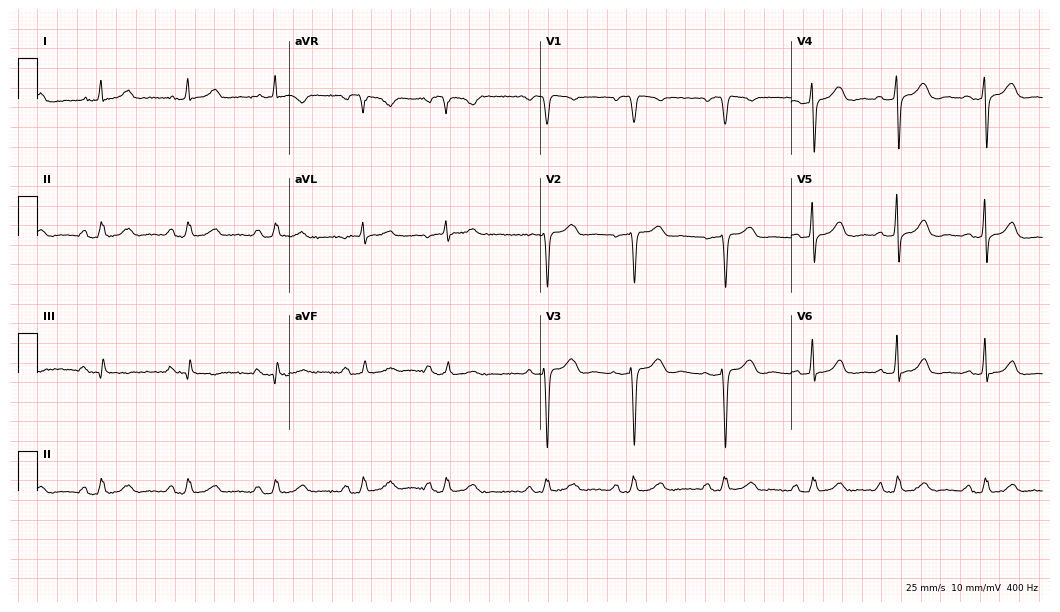
Resting 12-lead electrocardiogram (10.2-second recording at 400 Hz). Patient: a 79-year-old woman. Read as a normal ECG.